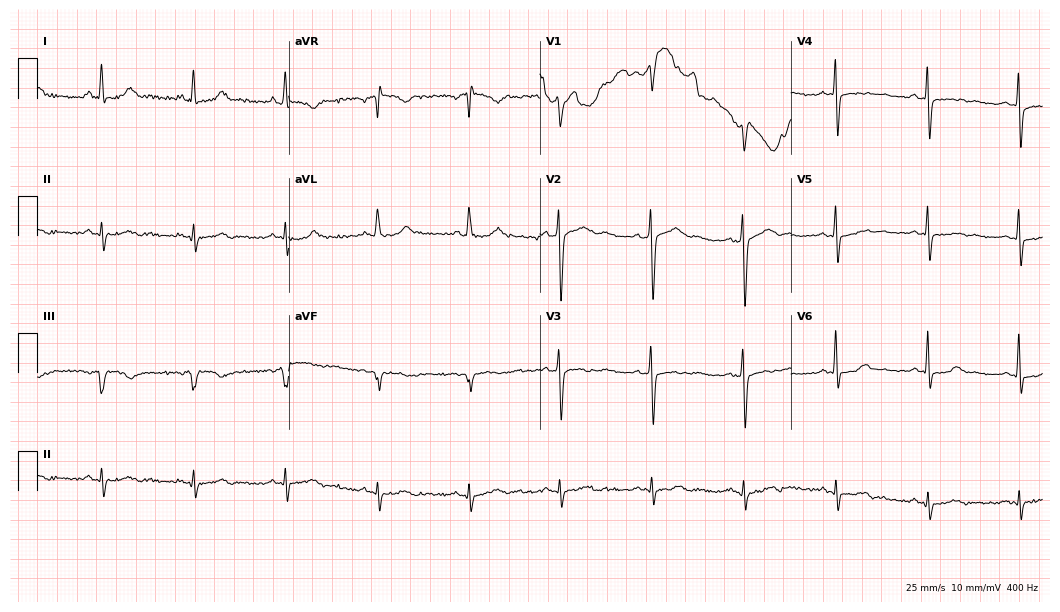
Electrocardiogram (10.2-second recording at 400 Hz), a man, 43 years old. Of the six screened findings (first-degree AV block, right bundle branch block (RBBB), left bundle branch block (LBBB), sinus bradycardia, atrial fibrillation (AF), sinus tachycardia), none is recorded.